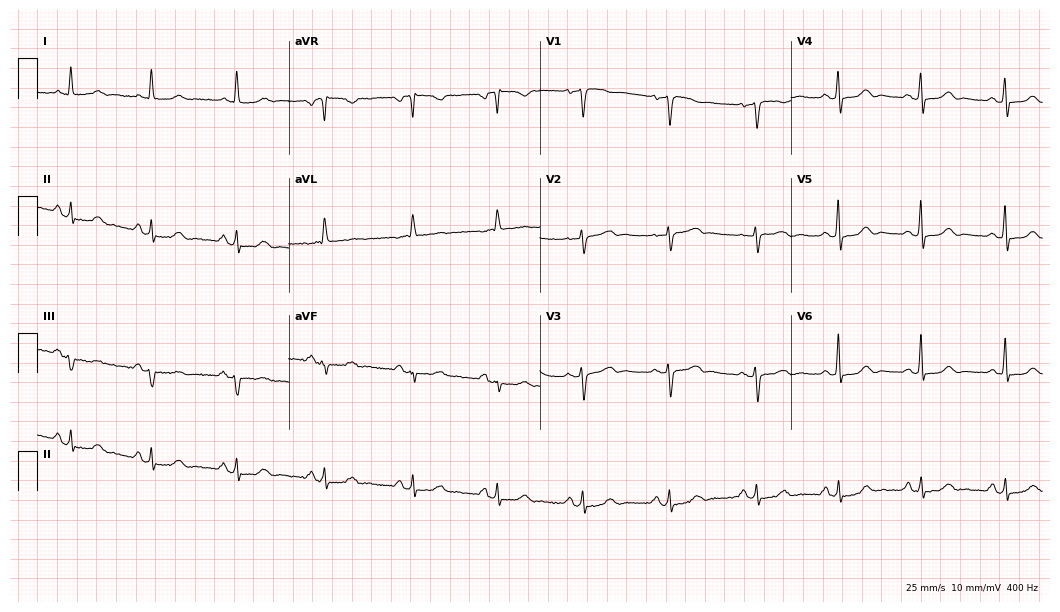
Resting 12-lead electrocardiogram. Patient: a 79-year-old female. Read as a normal ECG.